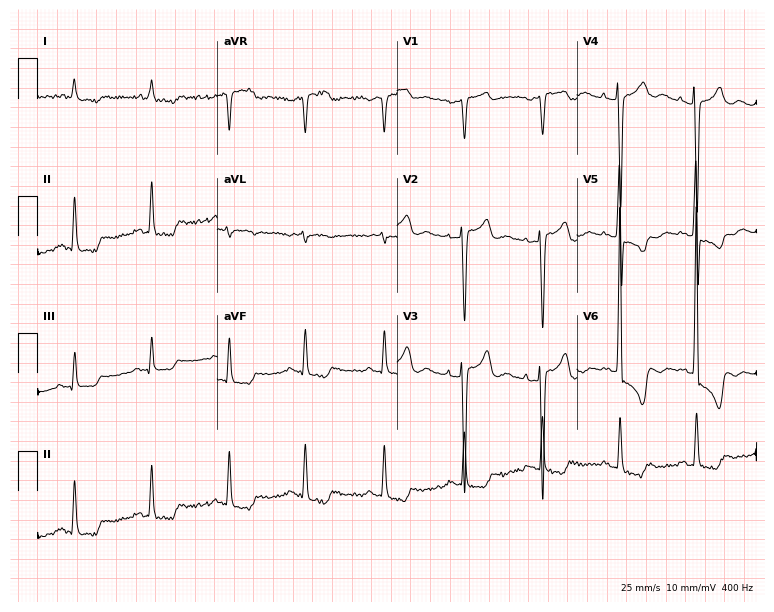
Resting 12-lead electrocardiogram (7.3-second recording at 400 Hz). Patient: an 85-year-old woman. None of these six findings is recorded: first-degree AV block, right bundle branch block, left bundle branch block, sinus bradycardia, atrial fibrillation, sinus tachycardia. Findings outside these six are not listed.